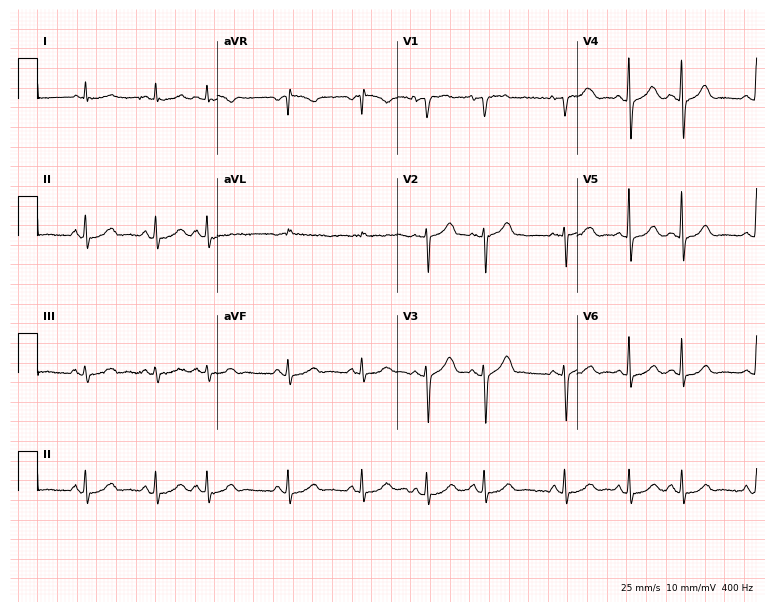
12-lead ECG (7.3-second recording at 400 Hz) from a woman, 84 years old. Labelled as a normal ECG.